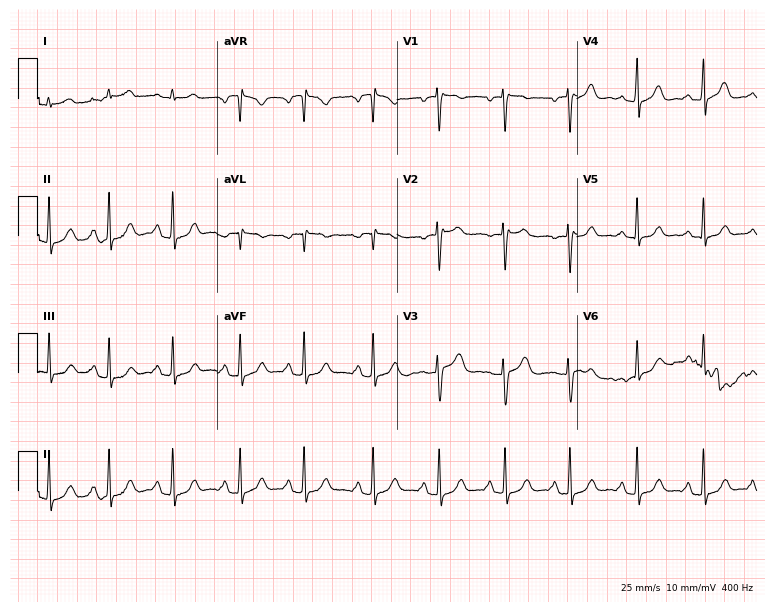
ECG — a 31-year-old woman. Screened for six findings — first-degree AV block, right bundle branch block (RBBB), left bundle branch block (LBBB), sinus bradycardia, atrial fibrillation (AF), sinus tachycardia — none is recorded.